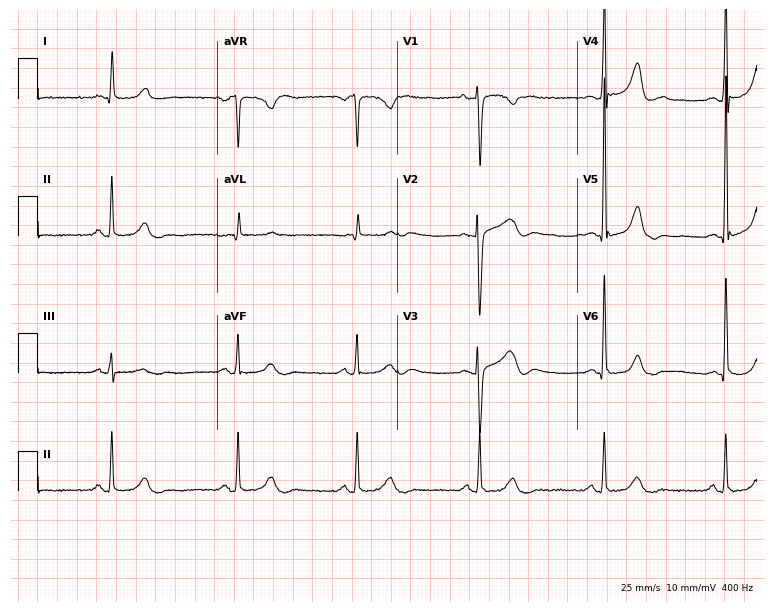
12-lead ECG from a female patient, 47 years old. No first-degree AV block, right bundle branch block, left bundle branch block, sinus bradycardia, atrial fibrillation or sinus tachycardia recorded for this tracing. Other findings, if any, are not listed.